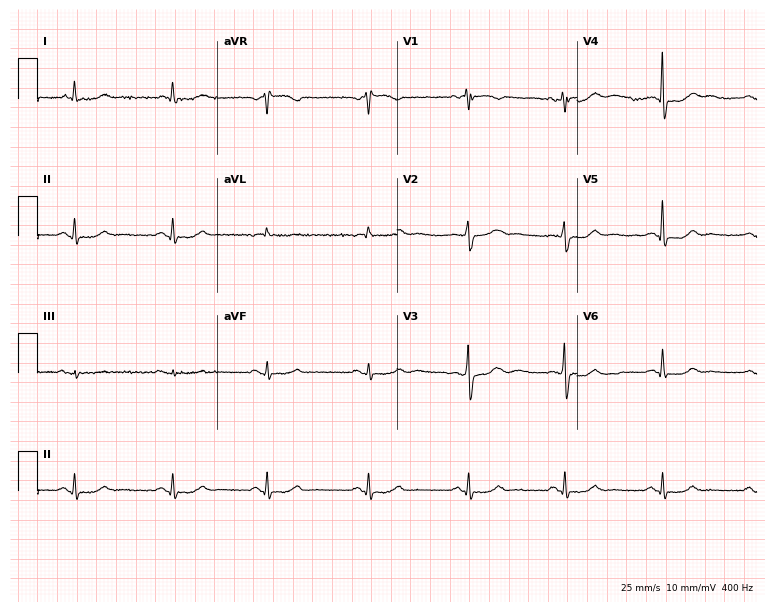
12-lead ECG from a 63-year-old female patient (7.3-second recording at 400 Hz). Recorded interpretation: within normal limits.